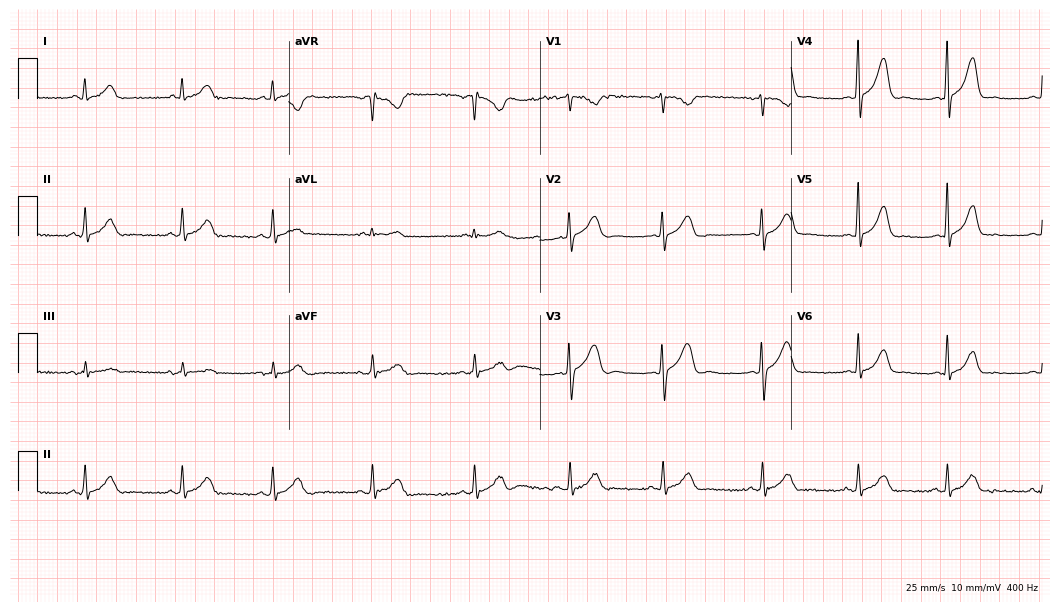
12-lead ECG from a woman, 24 years old (10.2-second recording at 400 Hz). Recorded interpretation: within normal limits.